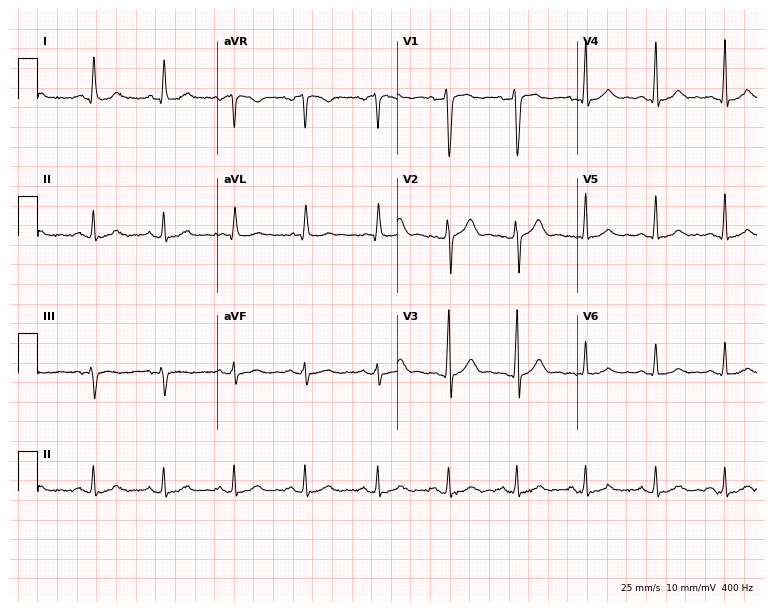
Resting 12-lead electrocardiogram (7.3-second recording at 400 Hz). Patient: a 36-year-old male. Read as a normal ECG.